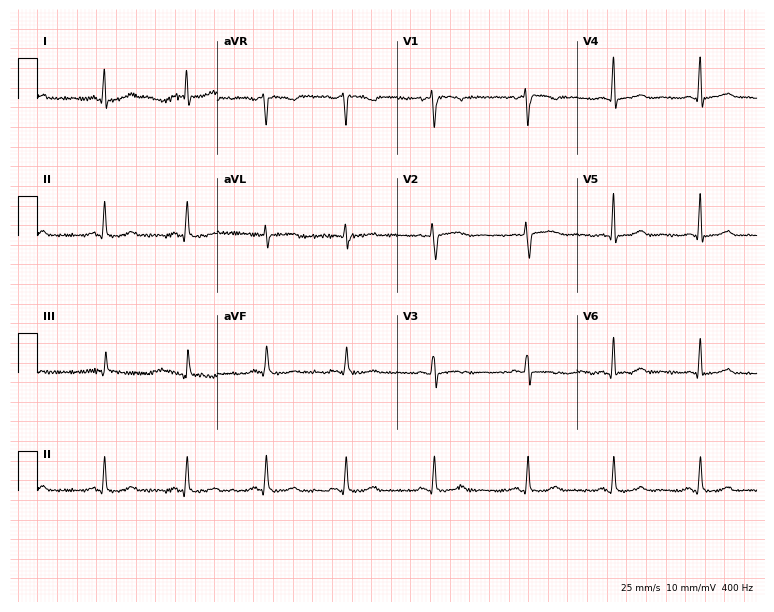
Resting 12-lead electrocardiogram (7.3-second recording at 400 Hz). Patient: a woman, 38 years old. Read as a normal ECG.